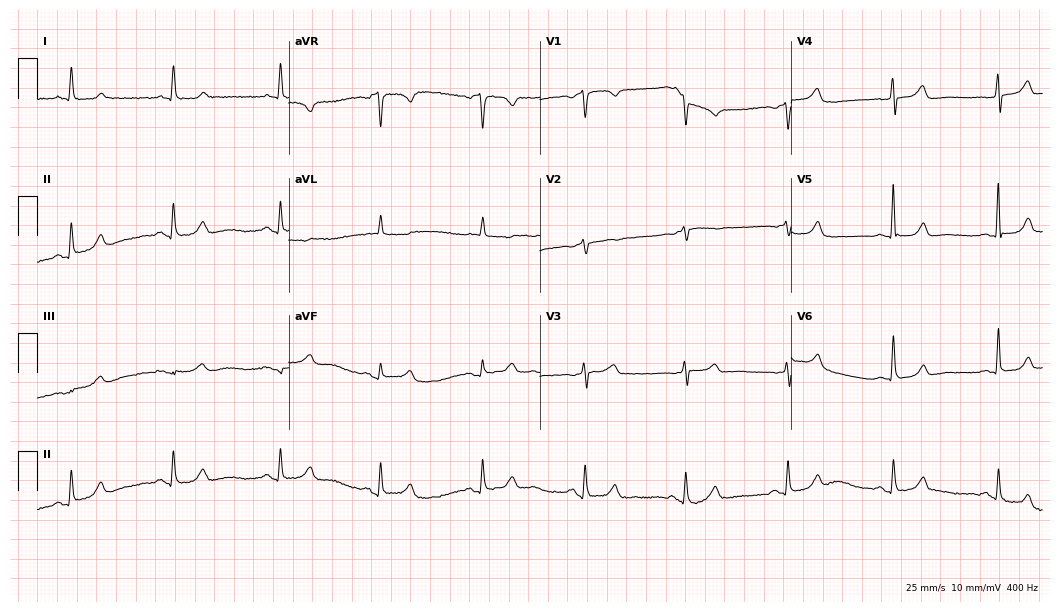
Resting 12-lead electrocardiogram (10.2-second recording at 400 Hz). Patient: an 84-year-old woman. Read as a normal ECG.